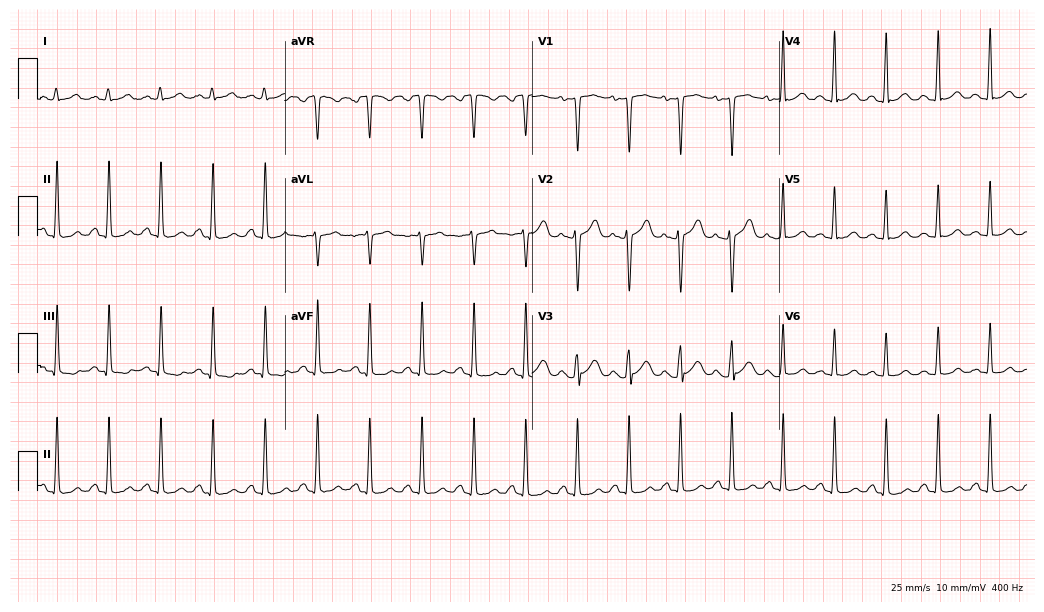
ECG (10.1-second recording at 400 Hz) — a 23-year-old female. Findings include sinus tachycardia (a sinus rate of 100 beats per minute or more).